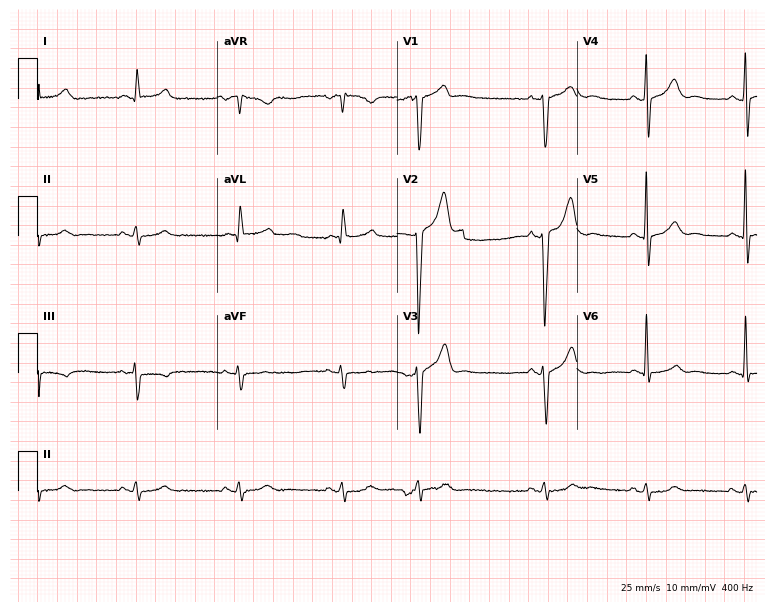
12-lead ECG from a man, 63 years old. Screened for six findings — first-degree AV block, right bundle branch block (RBBB), left bundle branch block (LBBB), sinus bradycardia, atrial fibrillation (AF), sinus tachycardia — none is recorded.